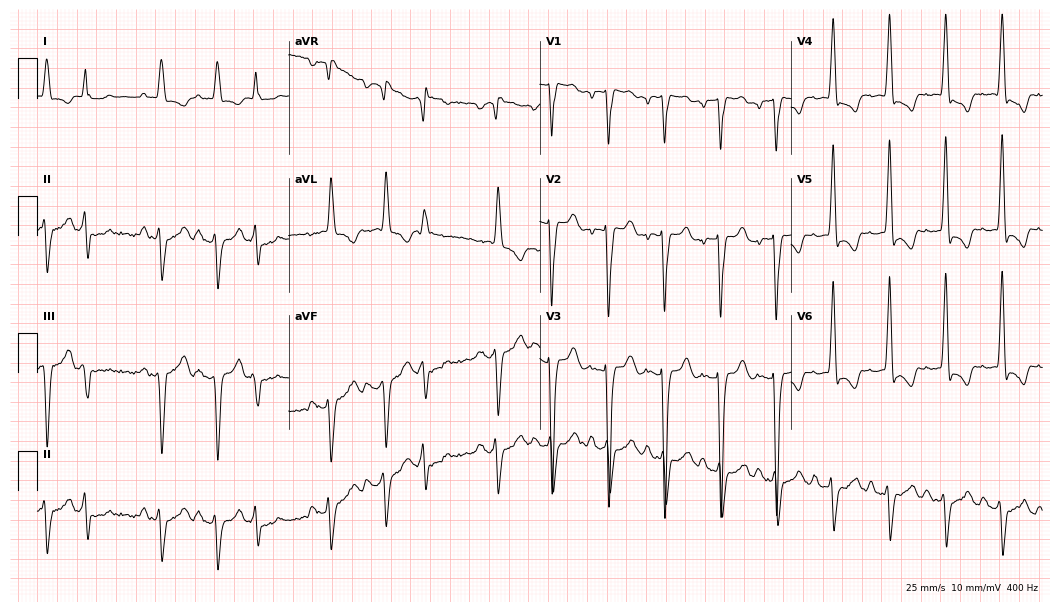
Standard 12-lead ECG recorded from a 71-year-old male patient. The tracing shows left bundle branch block, sinus tachycardia (a sinus rate of 100 beats per minute or more).